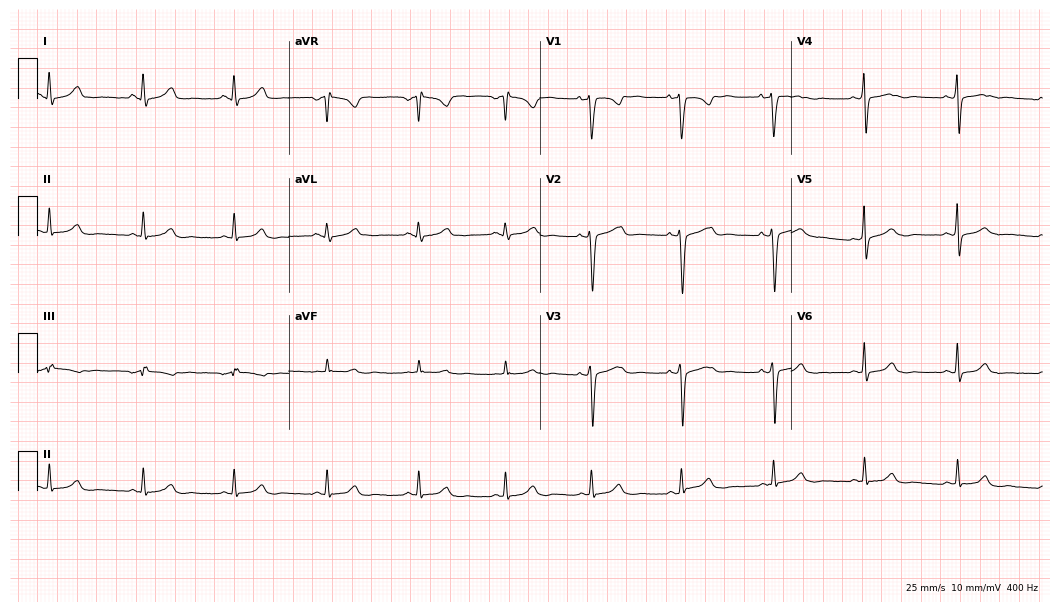
12-lead ECG from a female patient, 25 years old (10.2-second recording at 400 Hz). Recorded interpretation: within normal limits.